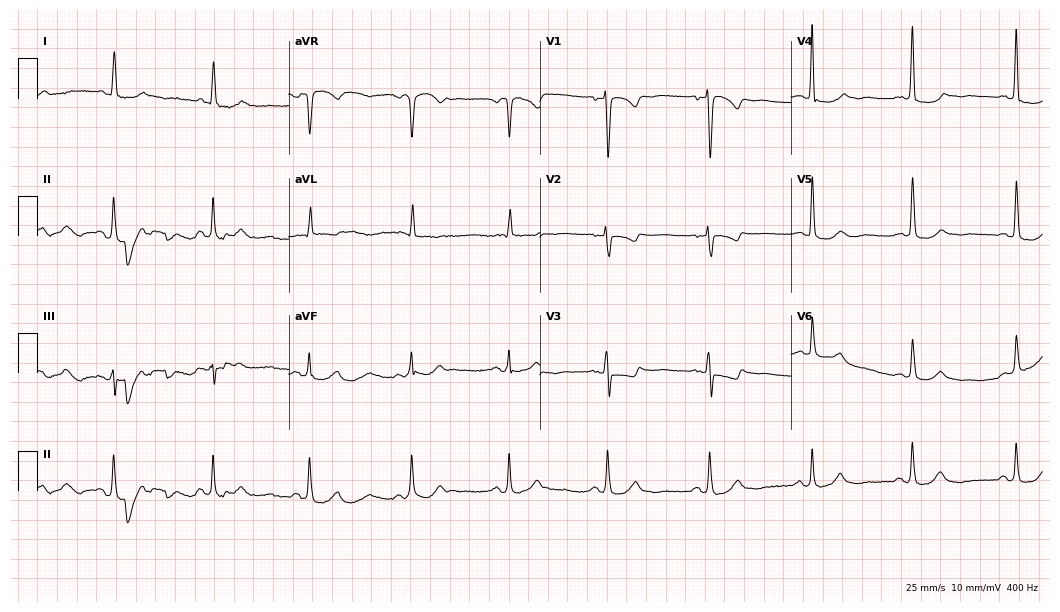
Electrocardiogram (10.2-second recording at 400 Hz), an 82-year-old woman. Of the six screened findings (first-degree AV block, right bundle branch block, left bundle branch block, sinus bradycardia, atrial fibrillation, sinus tachycardia), none is recorded.